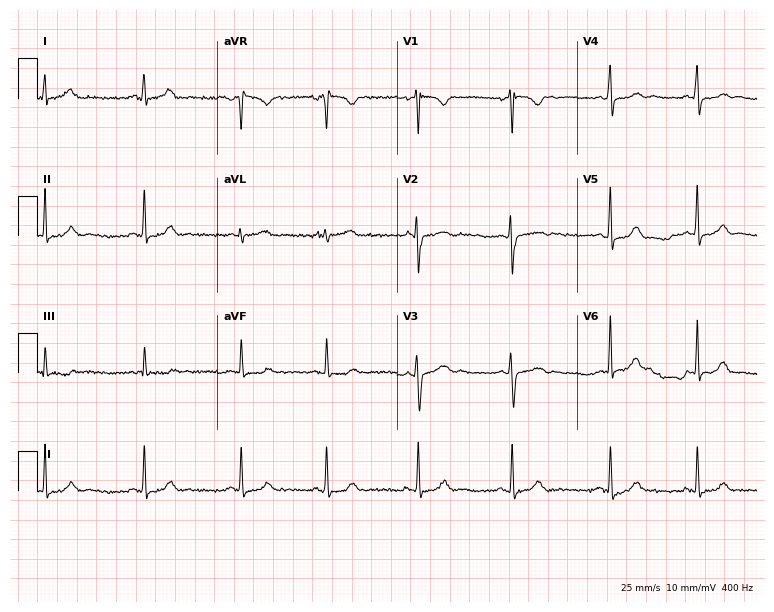
Standard 12-lead ECG recorded from a 23-year-old woman. Read as a normal ECG.